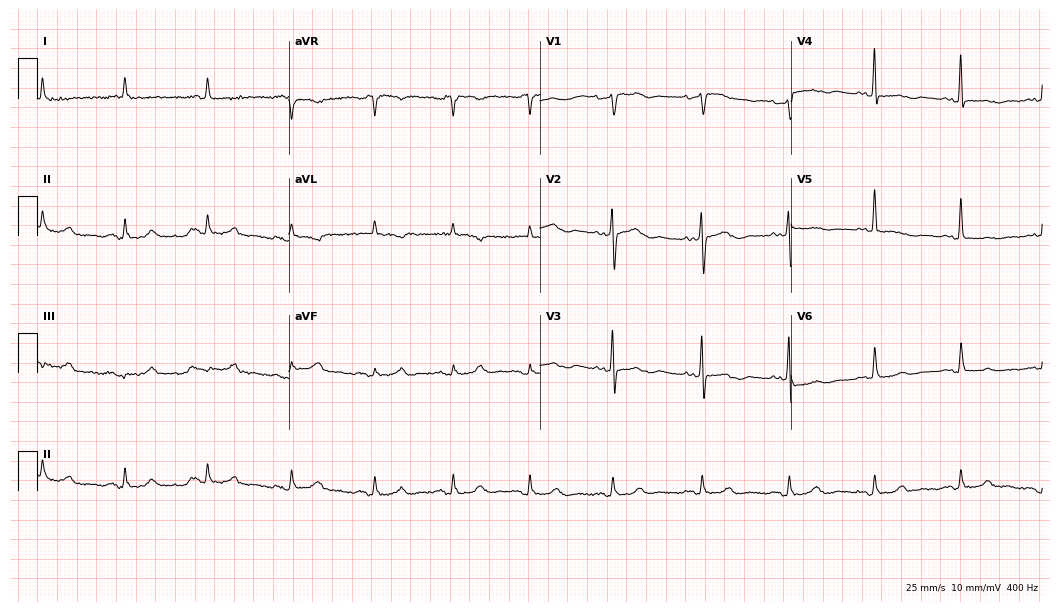
Standard 12-lead ECG recorded from an 83-year-old woman. None of these six findings is recorded: first-degree AV block, right bundle branch block, left bundle branch block, sinus bradycardia, atrial fibrillation, sinus tachycardia.